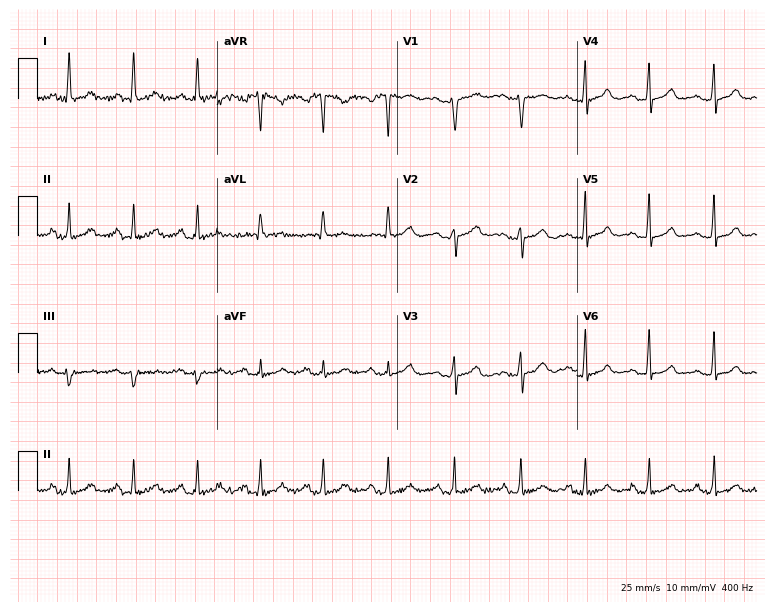
ECG (7.3-second recording at 400 Hz) — a female, 46 years old. Labelled as a normal ECG.